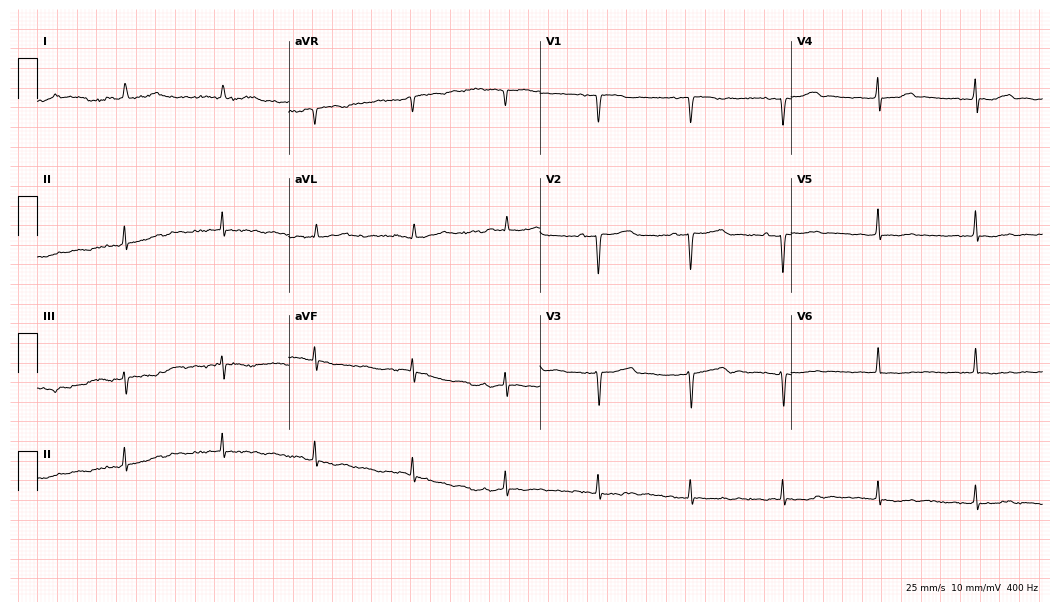
12-lead ECG (10.2-second recording at 400 Hz) from a 66-year-old woman. Screened for six findings — first-degree AV block, right bundle branch block (RBBB), left bundle branch block (LBBB), sinus bradycardia, atrial fibrillation (AF), sinus tachycardia — none is recorded.